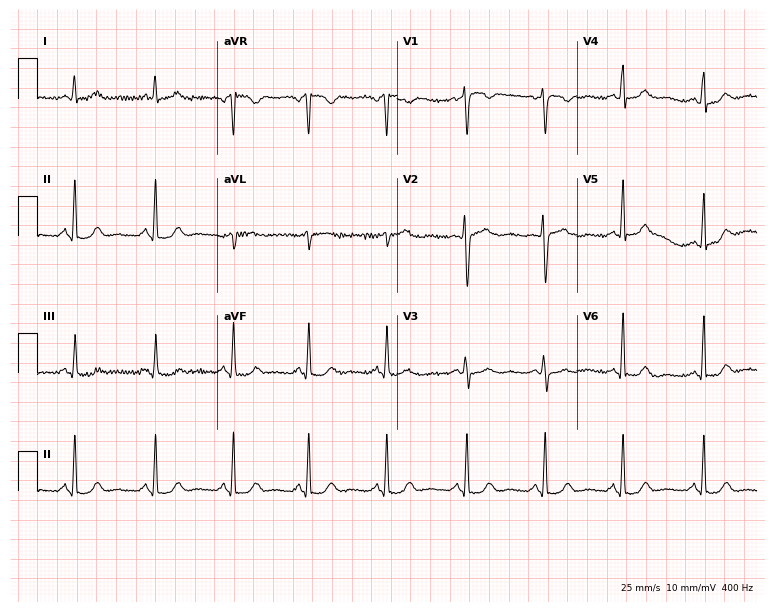
12-lead ECG (7.3-second recording at 400 Hz) from a female, 37 years old. Labelled as a normal ECG.